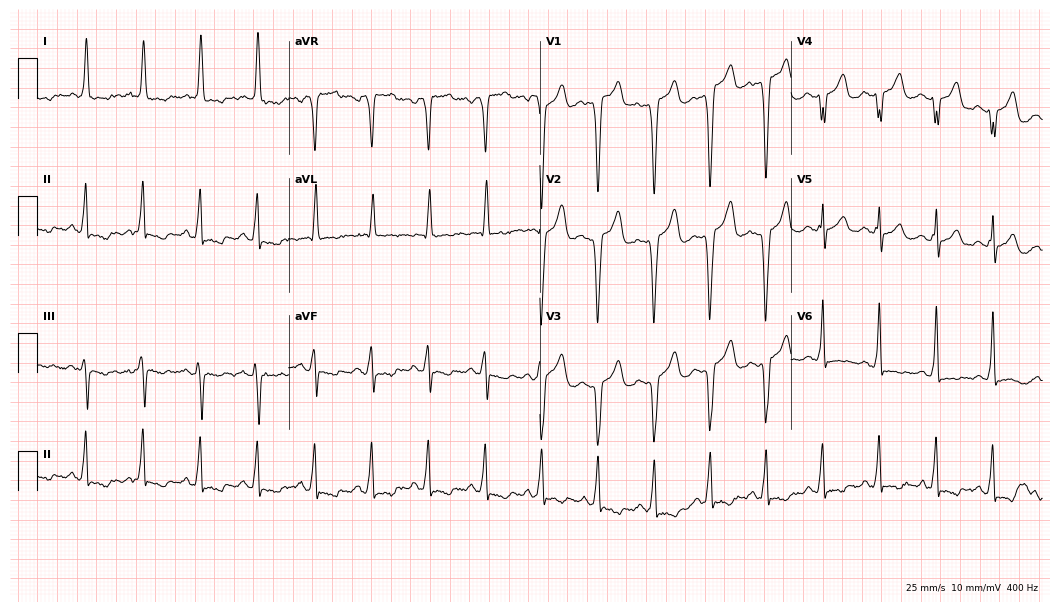
Electrocardiogram (10.2-second recording at 400 Hz), a female, 53 years old. Interpretation includes sinus tachycardia (a sinus rate of 100 beats per minute or more).